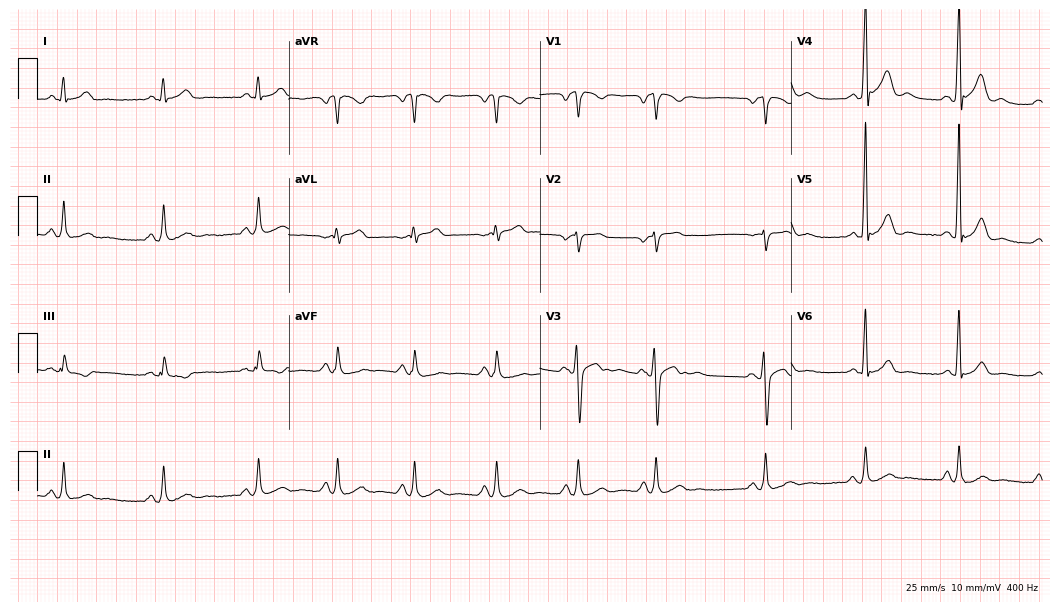
Electrocardiogram, a 46-year-old man. Overall reading on record: normal ECG.